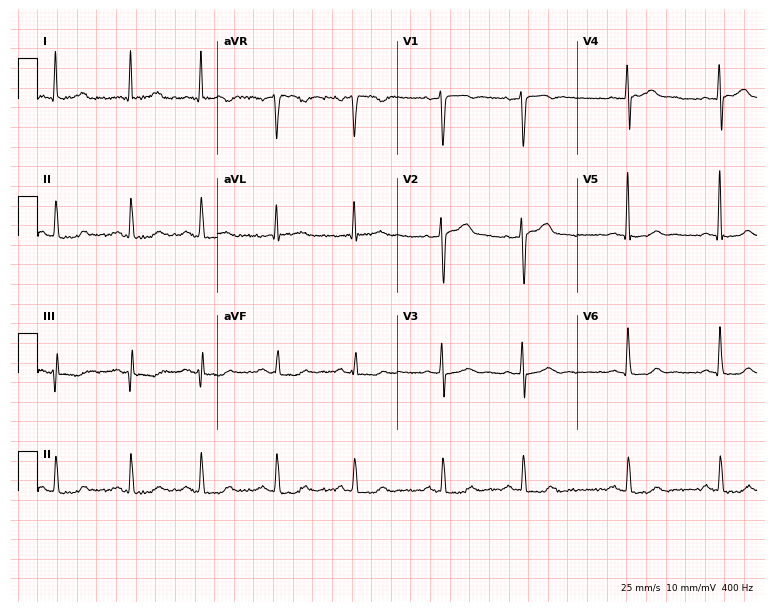
Standard 12-lead ECG recorded from a male patient, 64 years old (7.3-second recording at 400 Hz). None of these six findings is recorded: first-degree AV block, right bundle branch block, left bundle branch block, sinus bradycardia, atrial fibrillation, sinus tachycardia.